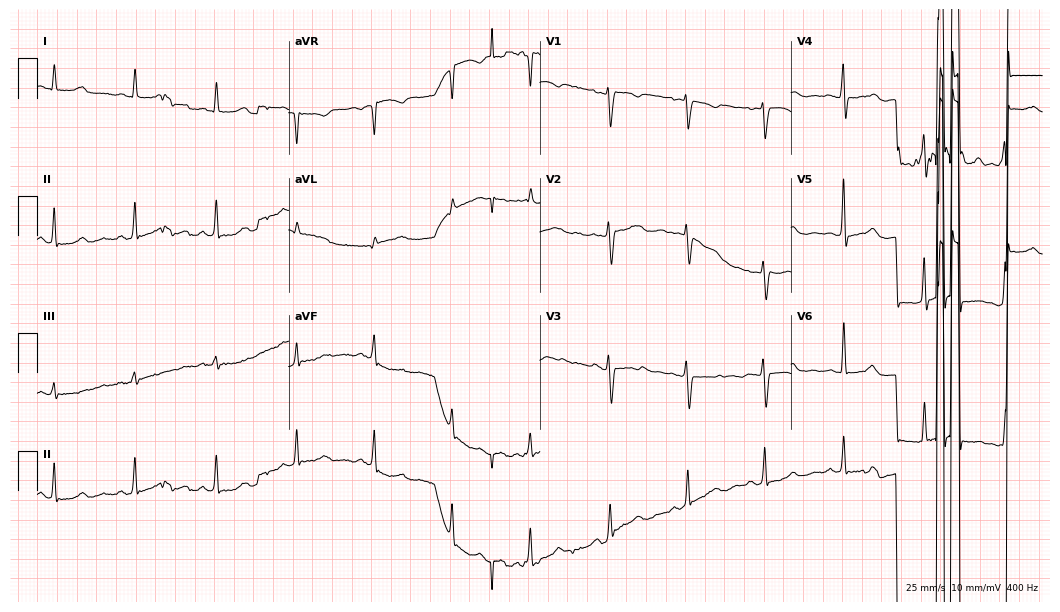
ECG — a male, 34 years old. Labelled as a normal ECG.